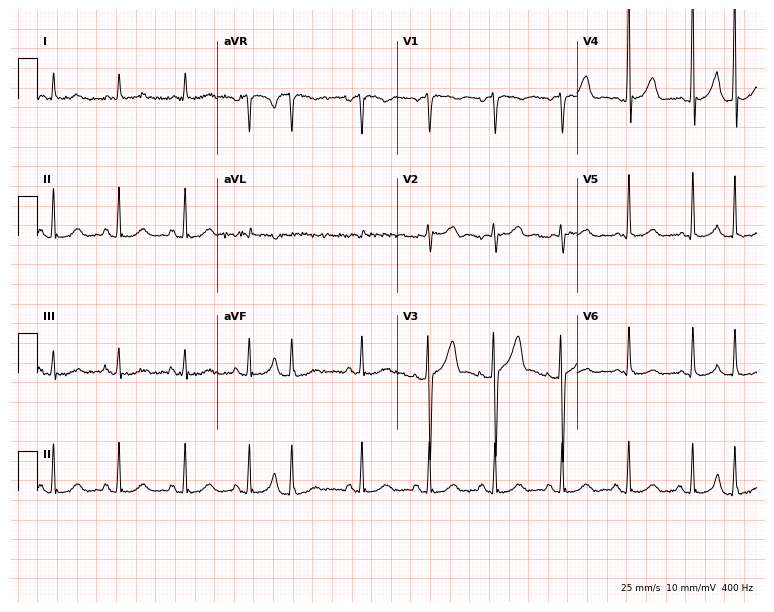
Standard 12-lead ECG recorded from a female, 81 years old (7.3-second recording at 400 Hz). None of these six findings is recorded: first-degree AV block, right bundle branch block, left bundle branch block, sinus bradycardia, atrial fibrillation, sinus tachycardia. Findings outside these six are not listed.